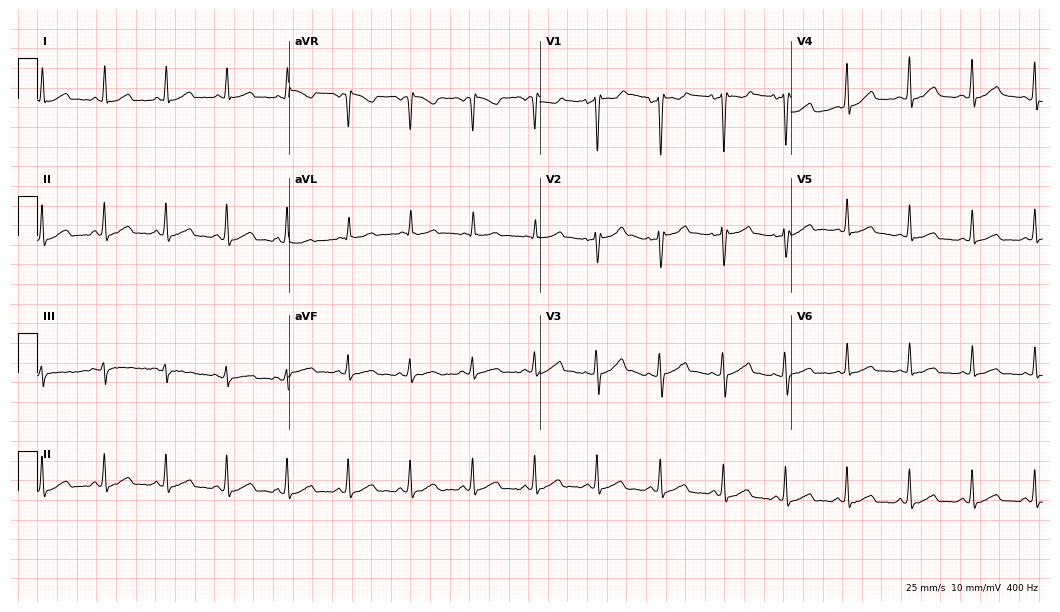
Resting 12-lead electrocardiogram. Patient: a female, 32 years old. None of these six findings is recorded: first-degree AV block, right bundle branch block, left bundle branch block, sinus bradycardia, atrial fibrillation, sinus tachycardia. Only these six findings were labelled.